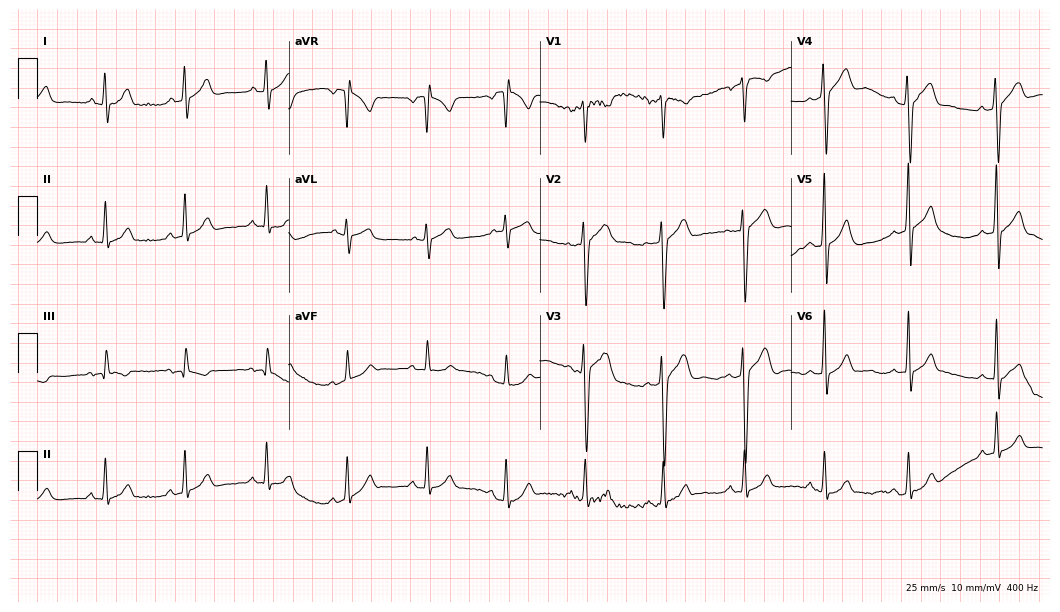
12-lead ECG (10.2-second recording at 400 Hz) from a 21-year-old man. Labelled as a normal ECG.